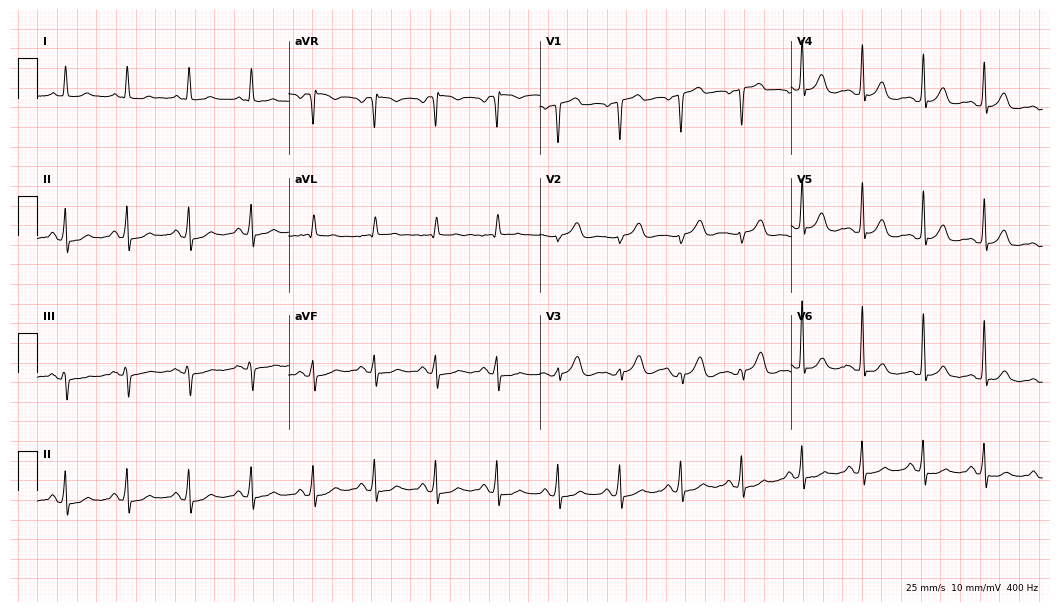
12-lead ECG (10.2-second recording at 400 Hz) from a woman, 42 years old. Screened for six findings — first-degree AV block, right bundle branch block, left bundle branch block, sinus bradycardia, atrial fibrillation, sinus tachycardia — none is recorded. Other findings, if any, are not listed.